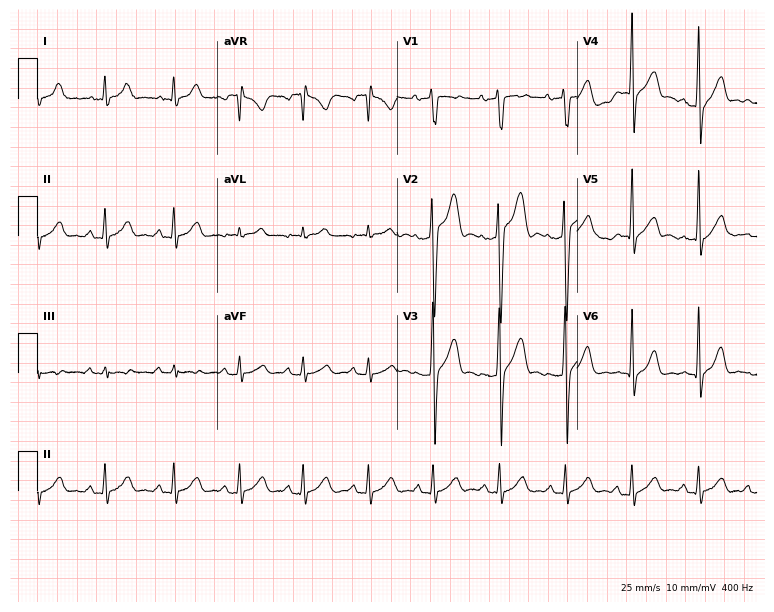
Electrocardiogram, a 25-year-old man. Of the six screened findings (first-degree AV block, right bundle branch block (RBBB), left bundle branch block (LBBB), sinus bradycardia, atrial fibrillation (AF), sinus tachycardia), none is recorded.